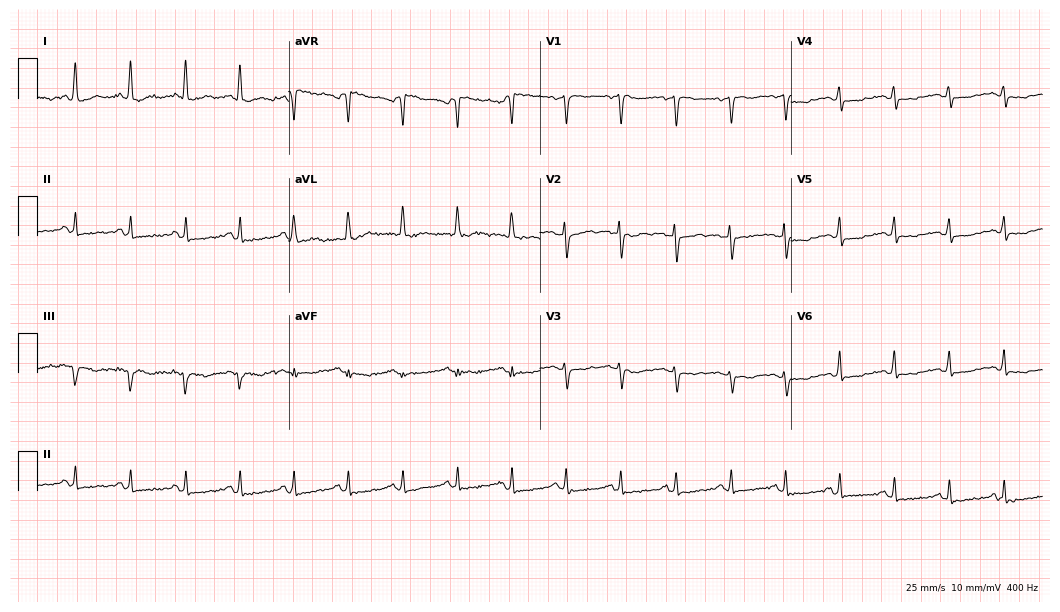
Resting 12-lead electrocardiogram. Patient: a female, 47 years old. The tracing shows sinus tachycardia (a sinus rate of 100 beats per minute or more).